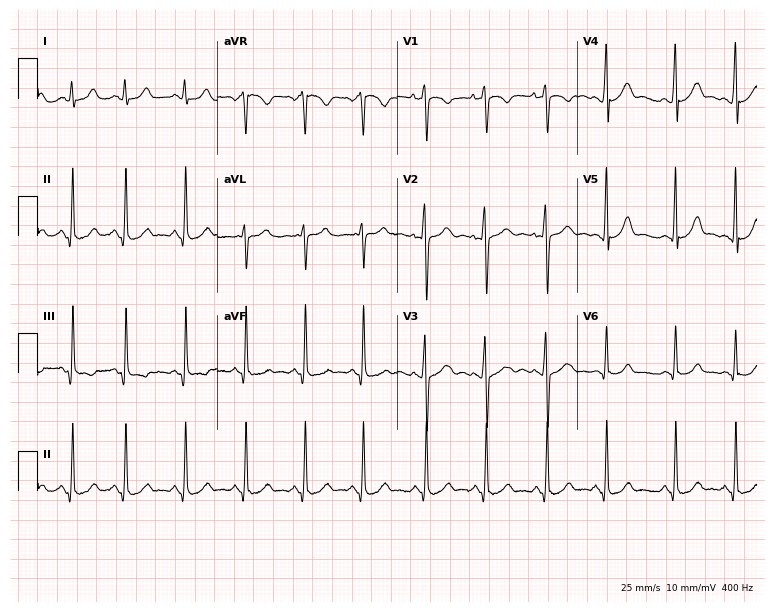
Resting 12-lead electrocardiogram (7.3-second recording at 400 Hz). Patient: a female, 20 years old. None of these six findings is recorded: first-degree AV block, right bundle branch block, left bundle branch block, sinus bradycardia, atrial fibrillation, sinus tachycardia.